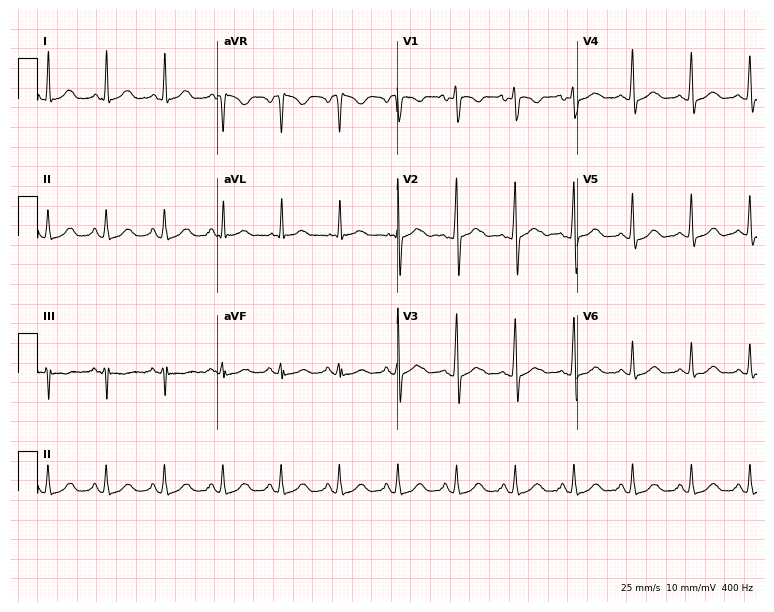
12-lead ECG from a female patient, 40 years old. Recorded interpretation: within normal limits.